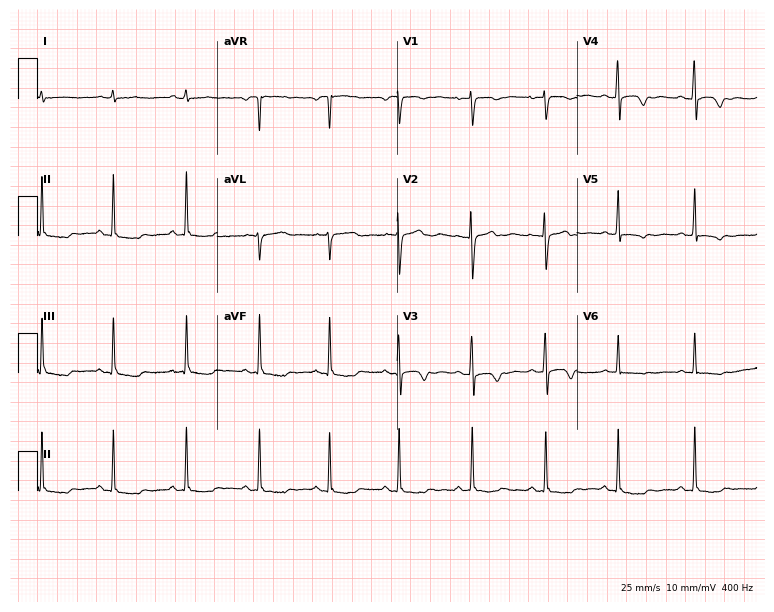
Standard 12-lead ECG recorded from a 29-year-old female patient. None of these six findings is recorded: first-degree AV block, right bundle branch block, left bundle branch block, sinus bradycardia, atrial fibrillation, sinus tachycardia. Findings outside these six are not listed.